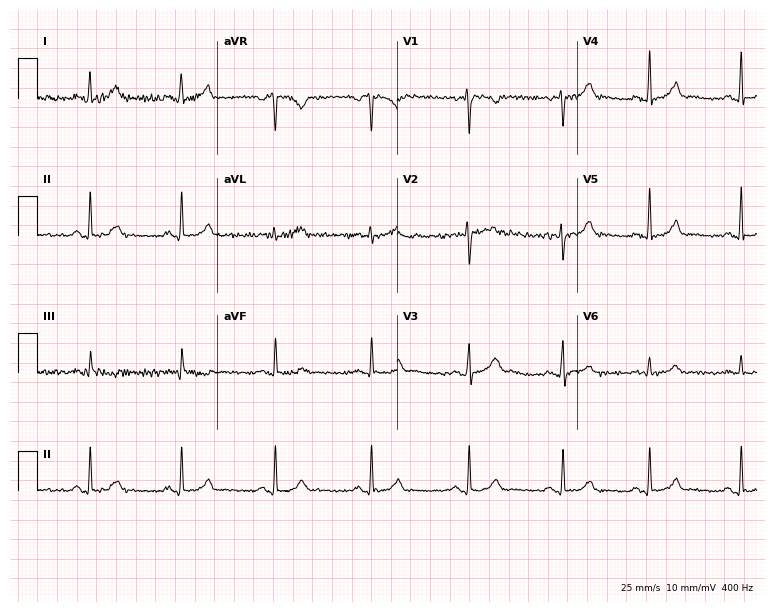
12-lead ECG from a female patient, 31 years old. No first-degree AV block, right bundle branch block, left bundle branch block, sinus bradycardia, atrial fibrillation or sinus tachycardia recorded for this tracing. Findings outside these six are not listed.